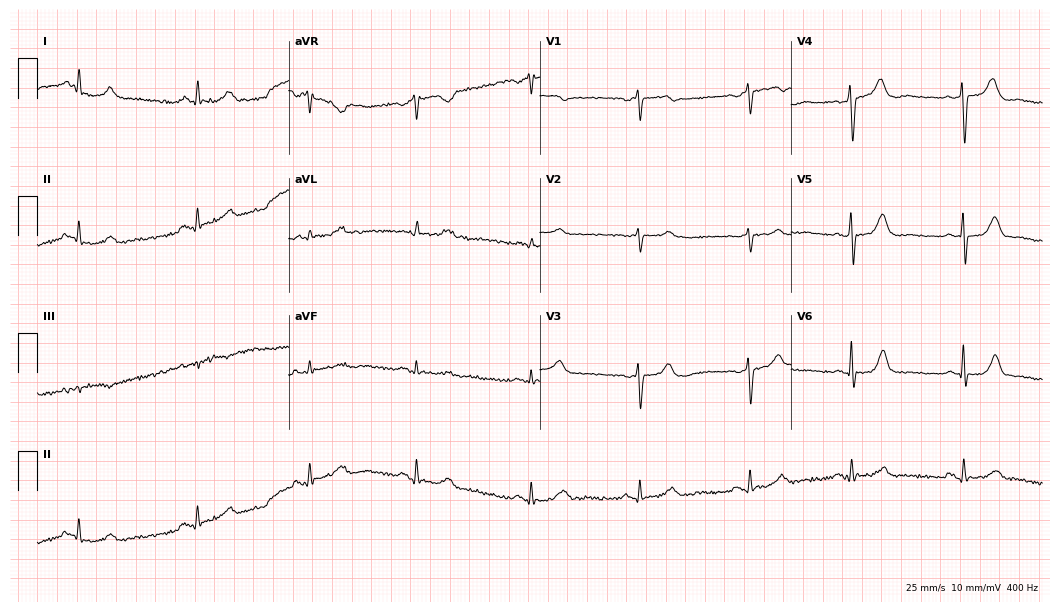
12-lead ECG from a 21-year-old female patient. Recorded interpretation: within normal limits.